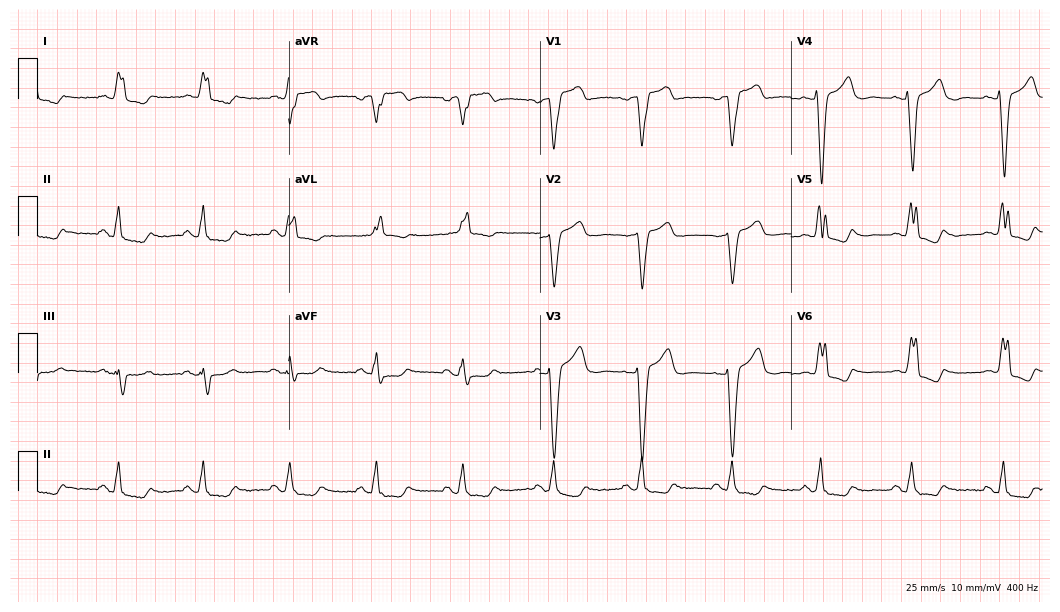
Resting 12-lead electrocardiogram. Patient: a woman, 74 years old. The tracing shows left bundle branch block.